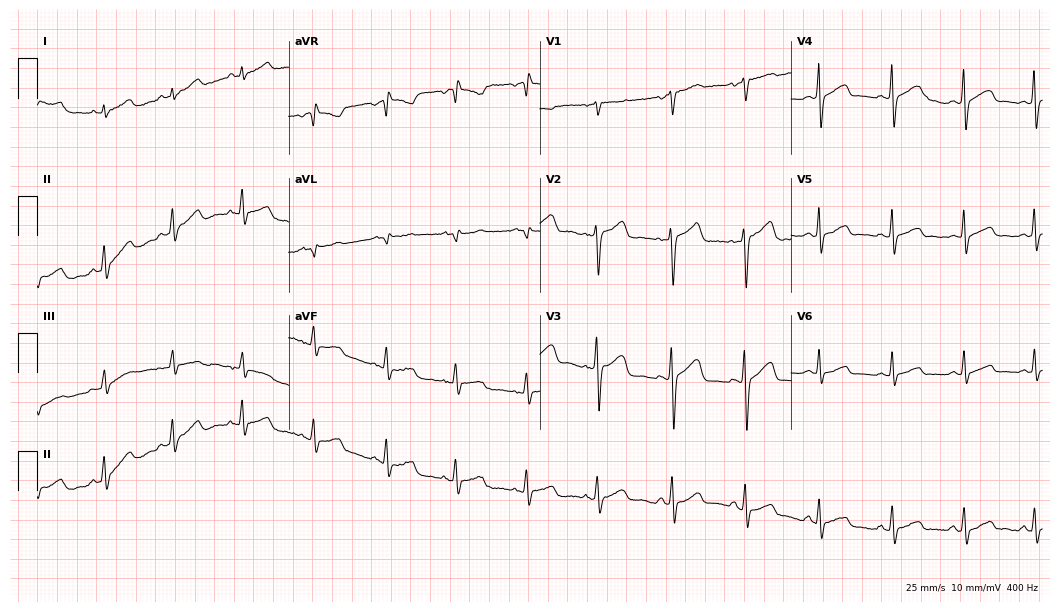
Resting 12-lead electrocardiogram (10.2-second recording at 400 Hz). Patient: a female, 50 years old. Read as a normal ECG.